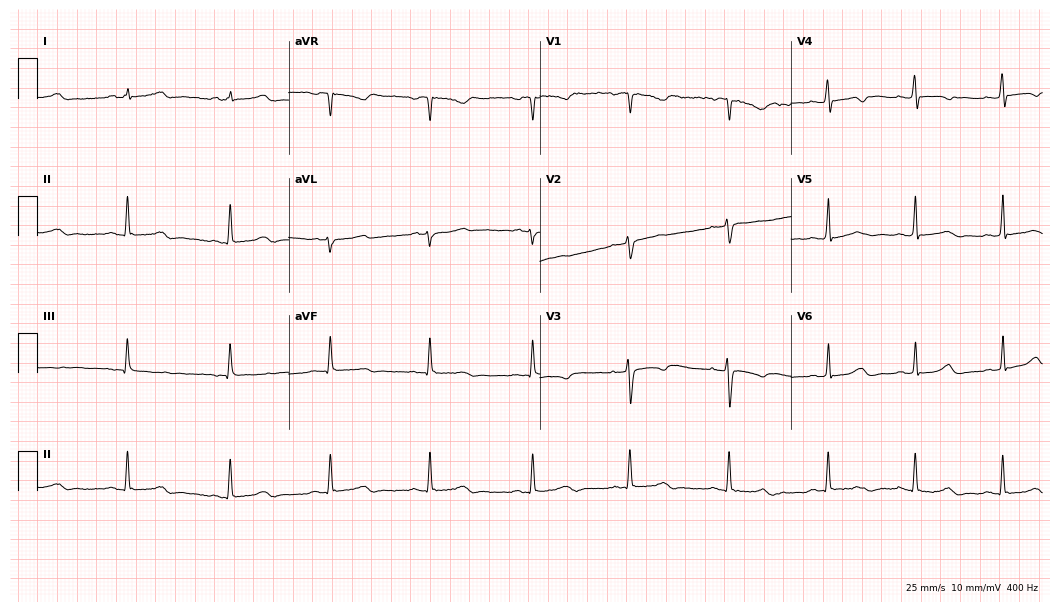
ECG — a 22-year-old female patient. Screened for six findings — first-degree AV block, right bundle branch block (RBBB), left bundle branch block (LBBB), sinus bradycardia, atrial fibrillation (AF), sinus tachycardia — none is recorded.